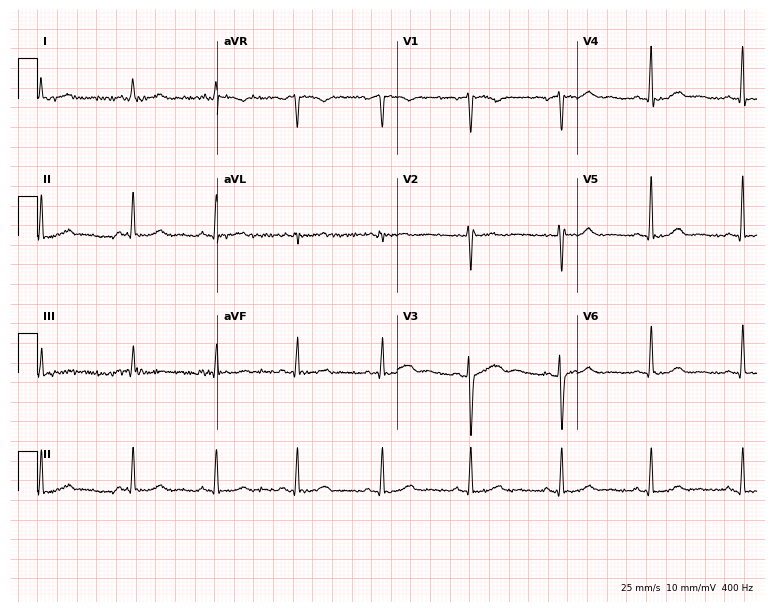
ECG — a woman, 41 years old. Labelled as a normal ECG.